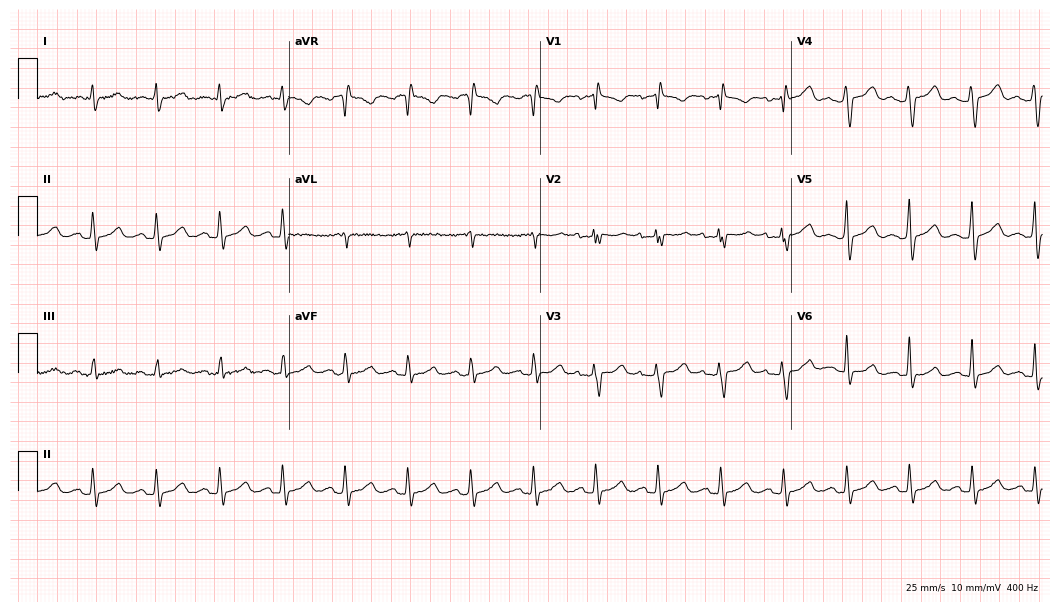
Resting 12-lead electrocardiogram (10.2-second recording at 400 Hz). Patient: a 45-year-old female. None of these six findings is recorded: first-degree AV block, right bundle branch block (RBBB), left bundle branch block (LBBB), sinus bradycardia, atrial fibrillation (AF), sinus tachycardia.